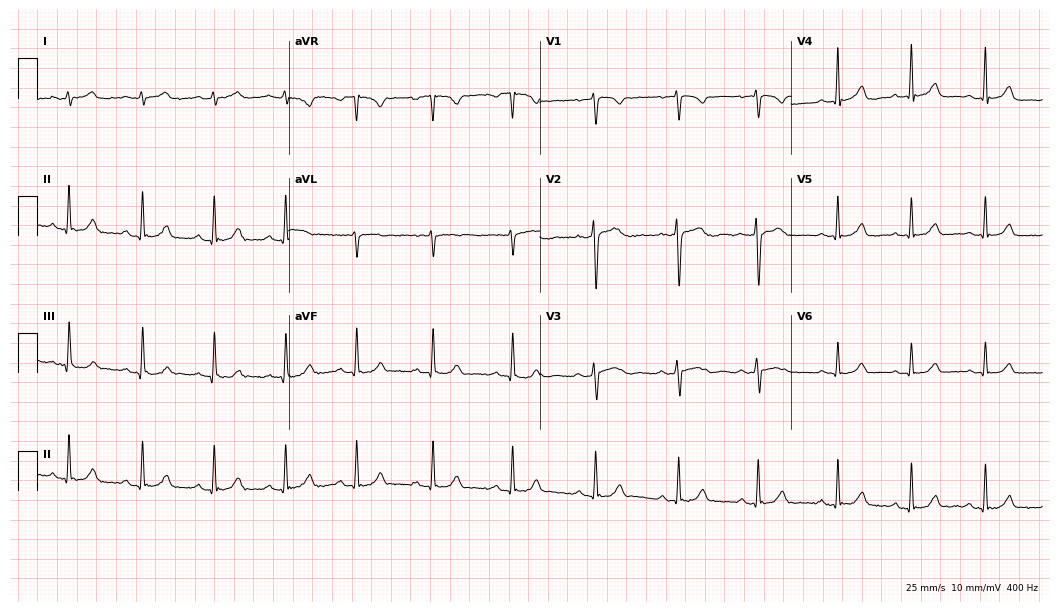
12-lead ECG (10.2-second recording at 400 Hz) from a 24-year-old female. Labelled as a normal ECG.